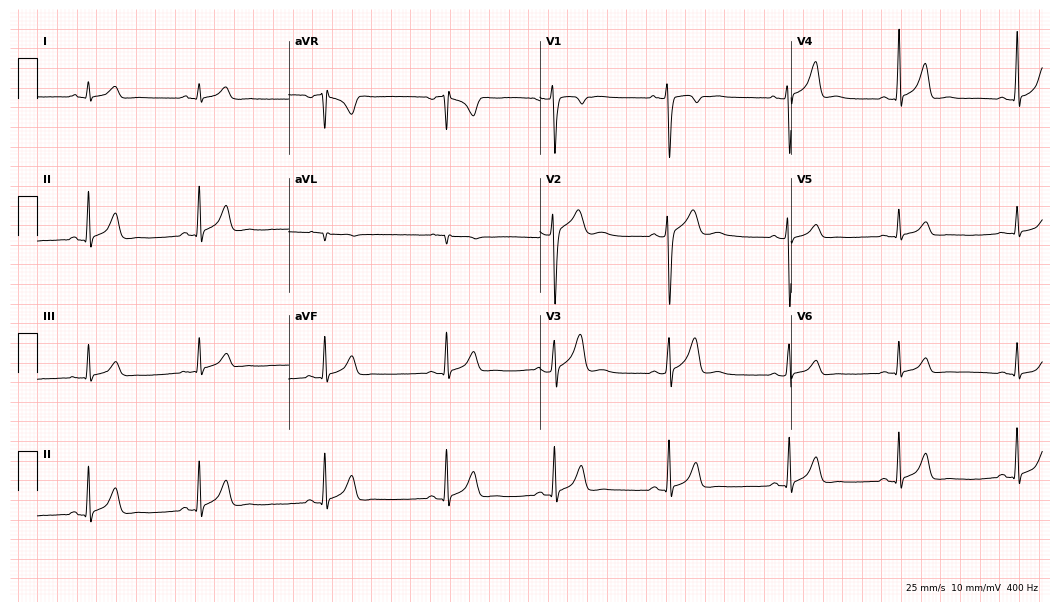
Resting 12-lead electrocardiogram. Patient: a 22-year-old man. Read as a normal ECG.